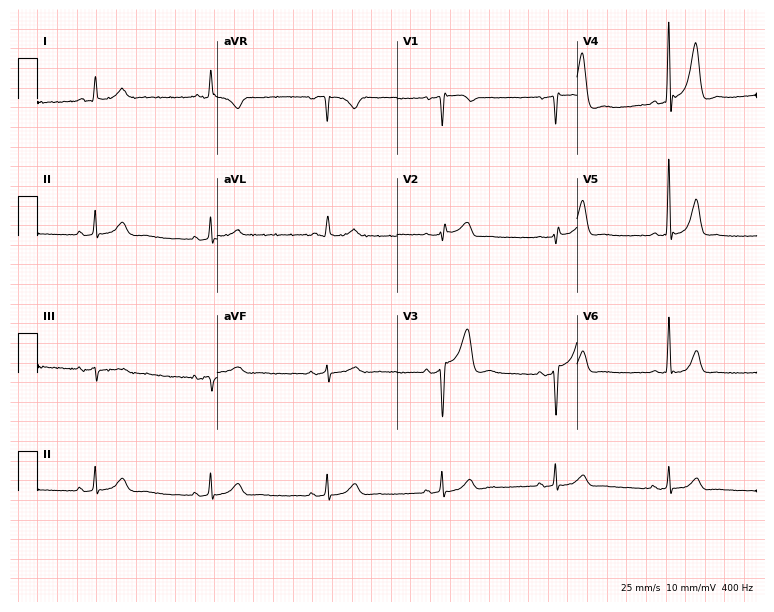
12-lead ECG from a 69-year-old male. Screened for six findings — first-degree AV block, right bundle branch block, left bundle branch block, sinus bradycardia, atrial fibrillation, sinus tachycardia — none is recorded. Only these six findings were labelled.